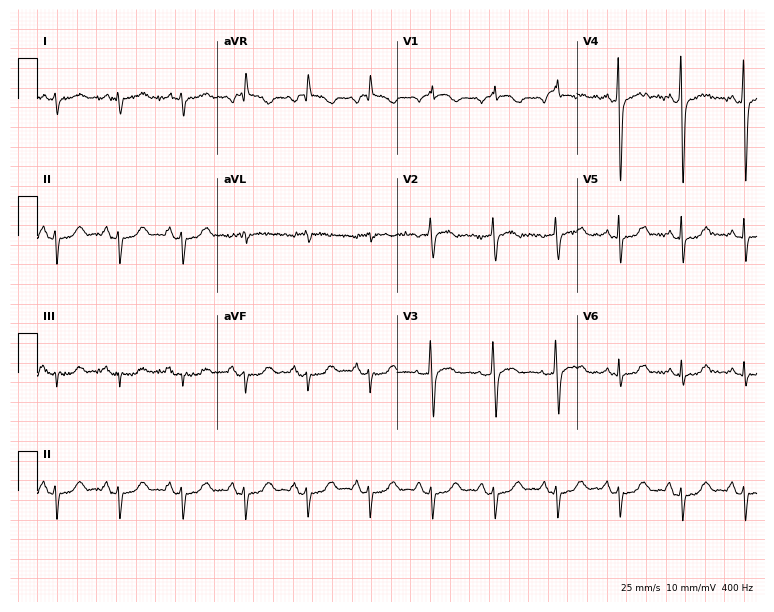
Resting 12-lead electrocardiogram (7.3-second recording at 400 Hz). Patient: a woman, 65 years old. None of these six findings is recorded: first-degree AV block, right bundle branch block (RBBB), left bundle branch block (LBBB), sinus bradycardia, atrial fibrillation (AF), sinus tachycardia. Only these six findings were labelled.